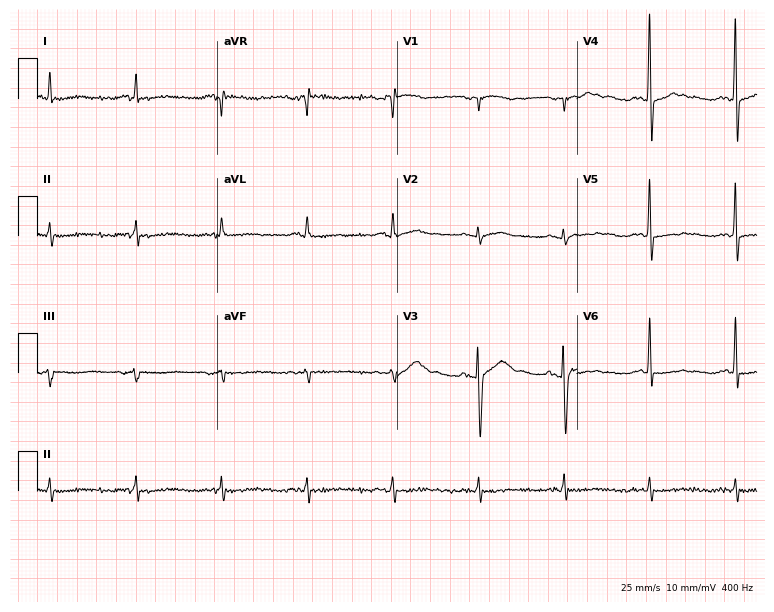
Resting 12-lead electrocardiogram. Patient: an 80-year-old man. Read as a normal ECG.